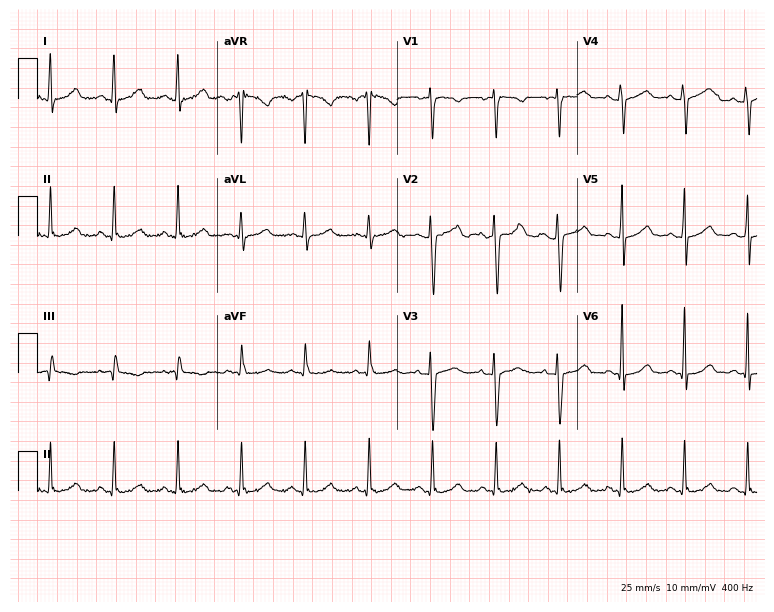
ECG (7.3-second recording at 400 Hz) — a female, 29 years old. Labelled as a normal ECG.